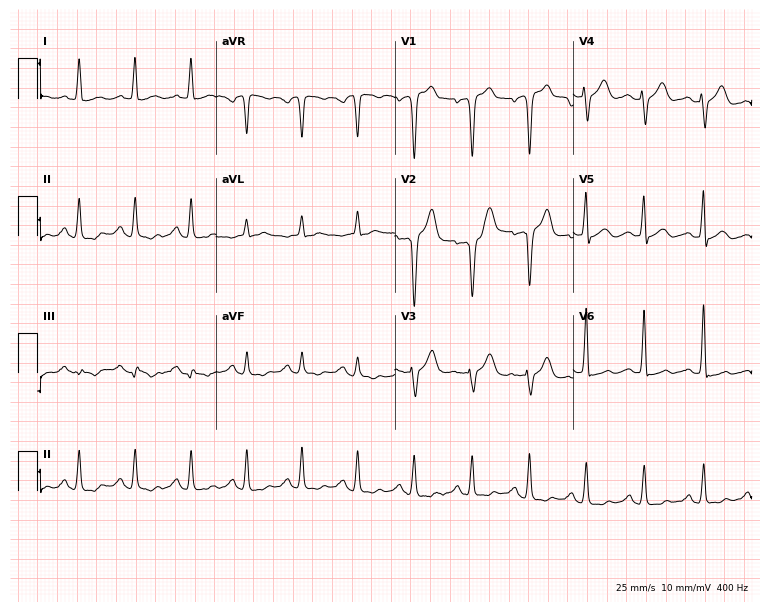
12-lead ECG from a male patient, 40 years old. Screened for six findings — first-degree AV block, right bundle branch block, left bundle branch block, sinus bradycardia, atrial fibrillation, sinus tachycardia — none is recorded. Other findings, if any, are not listed.